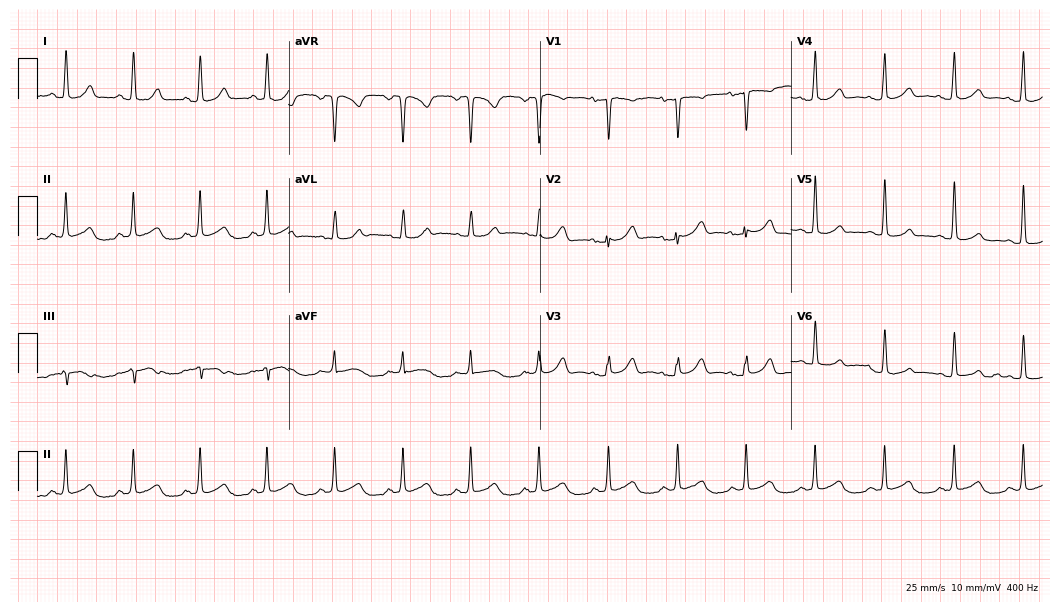
12-lead ECG from a 49-year-old woman. No first-degree AV block, right bundle branch block, left bundle branch block, sinus bradycardia, atrial fibrillation or sinus tachycardia recorded for this tracing.